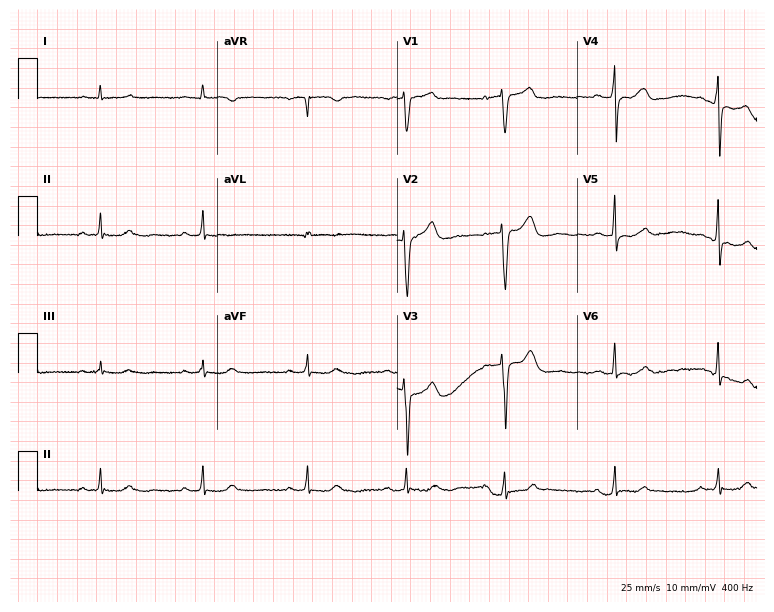
12-lead ECG from a female patient, 54 years old (7.3-second recording at 400 Hz). Recorded interpretation: within normal limits.